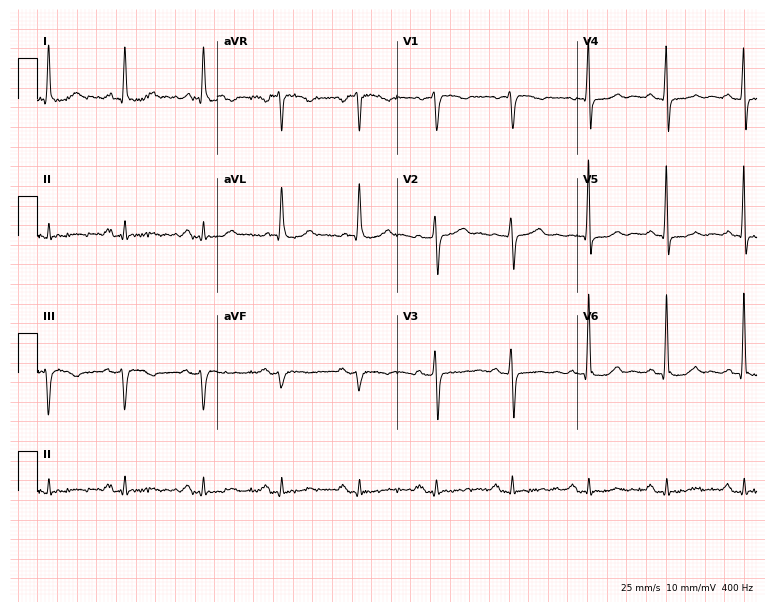
Standard 12-lead ECG recorded from a female patient, 58 years old. None of these six findings is recorded: first-degree AV block, right bundle branch block (RBBB), left bundle branch block (LBBB), sinus bradycardia, atrial fibrillation (AF), sinus tachycardia. Other findings, if any, are not listed.